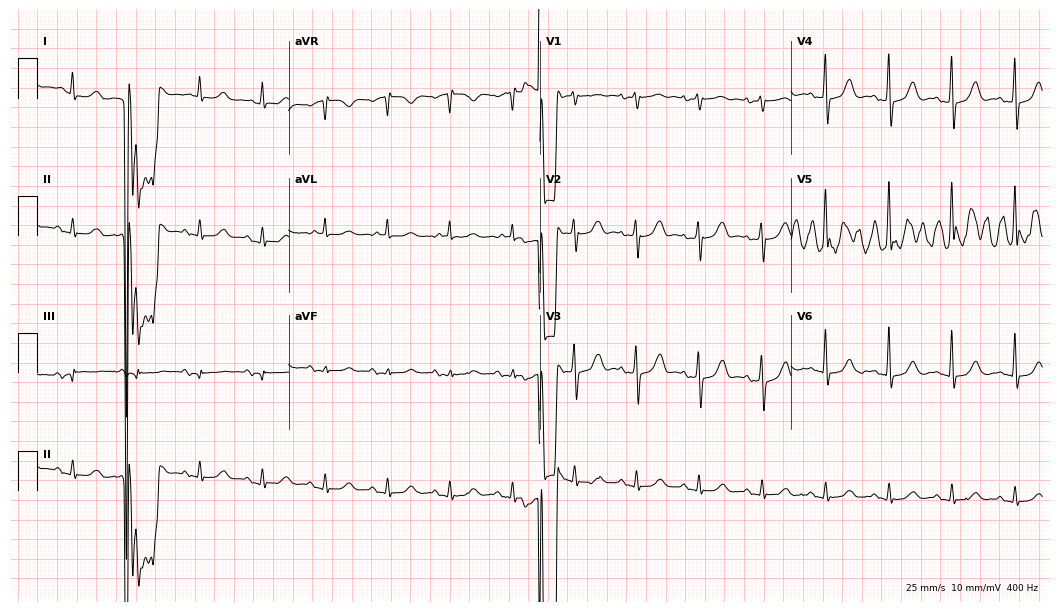
Electrocardiogram, a male patient, 77 years old. Of the six screened findings (first-degree AV block, right bundle branch block (RBBB), left bundle branch block (LBBB), sinus bradycardia, atrial fibrillation (AF), sinus tachycardia), none is recorded. Findings outside these six are not listed.